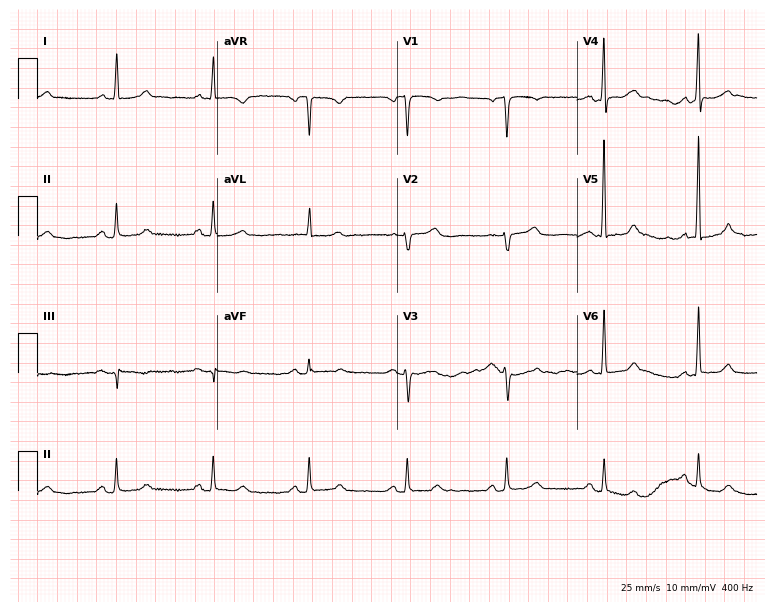
12-lead ECG from a 73-year-old female patient. Labelled as a normal ECG.